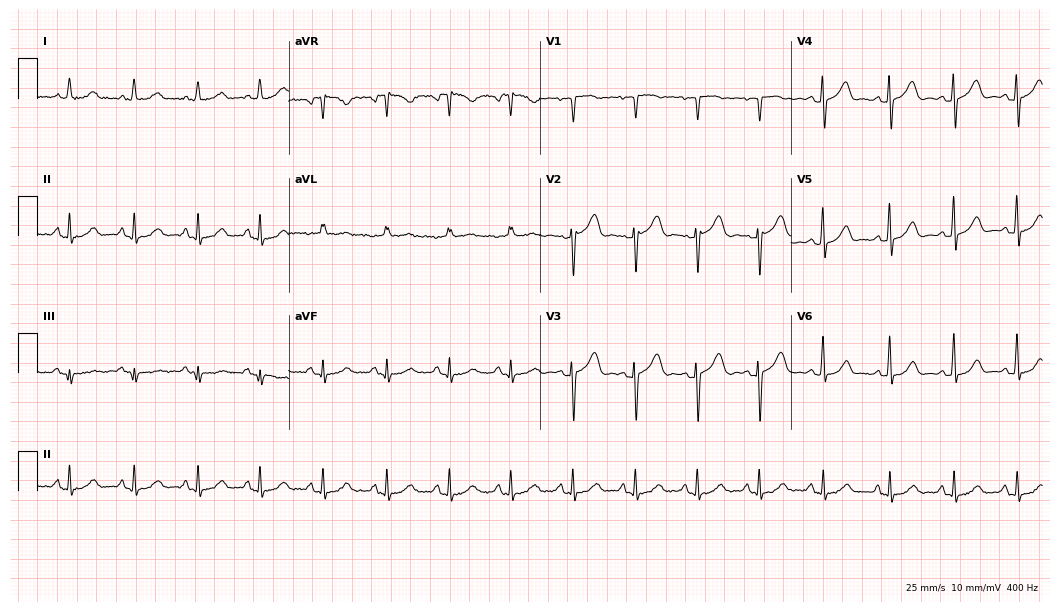
Standard 12-lead ECG recorded from a woman, 57 years old. Read as a normal ECG.